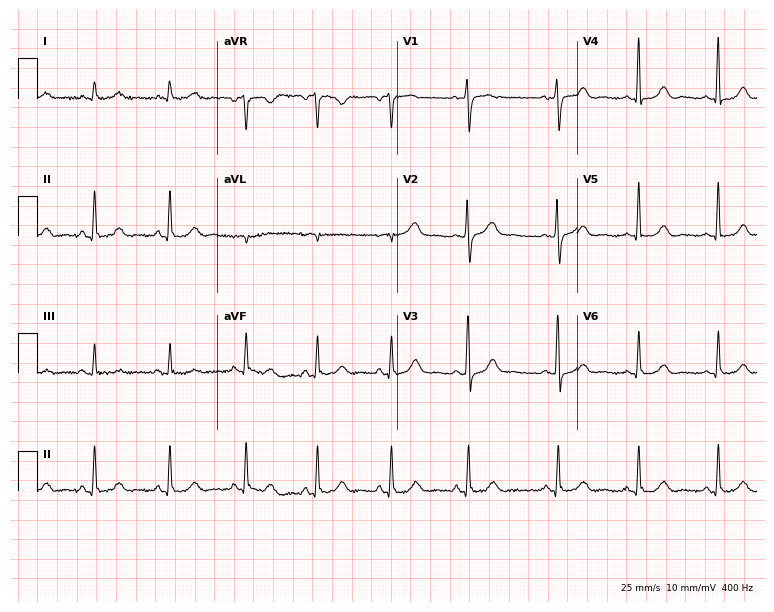
12-lead ECG from a female patient, 62 years old. Recorded interpretation: within normal limits.